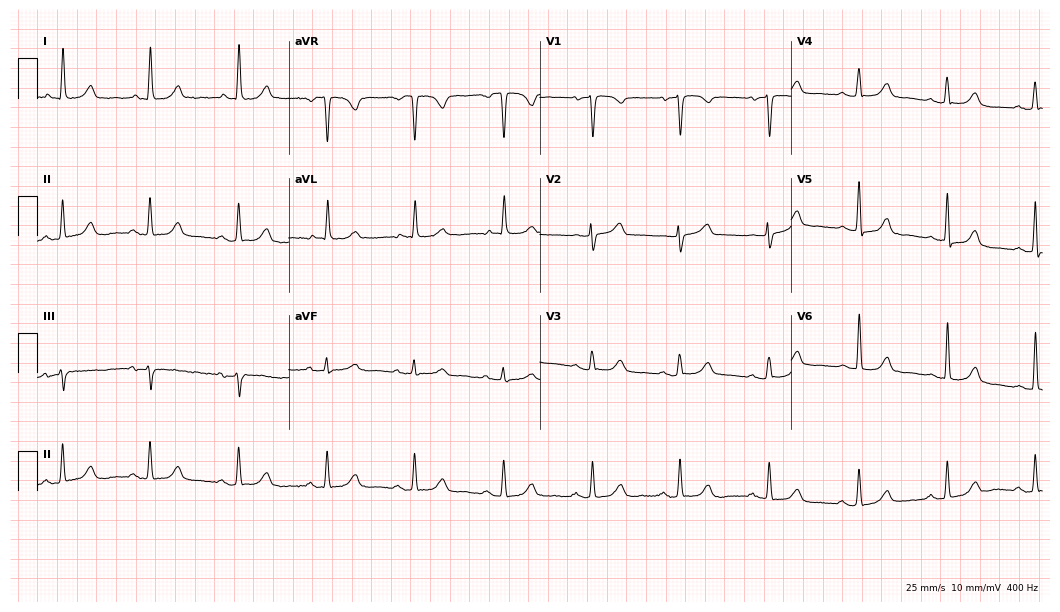
Resting 12-lead electrocardiogram. Patient: an 86-year-old female. None of these six findings is recorded: first-degree AV block, right bundle branch block, left bundle branch block, sinus bradycardia, atrial fibrillation, sinus tachycardia. Other findings, if any, are not listed.